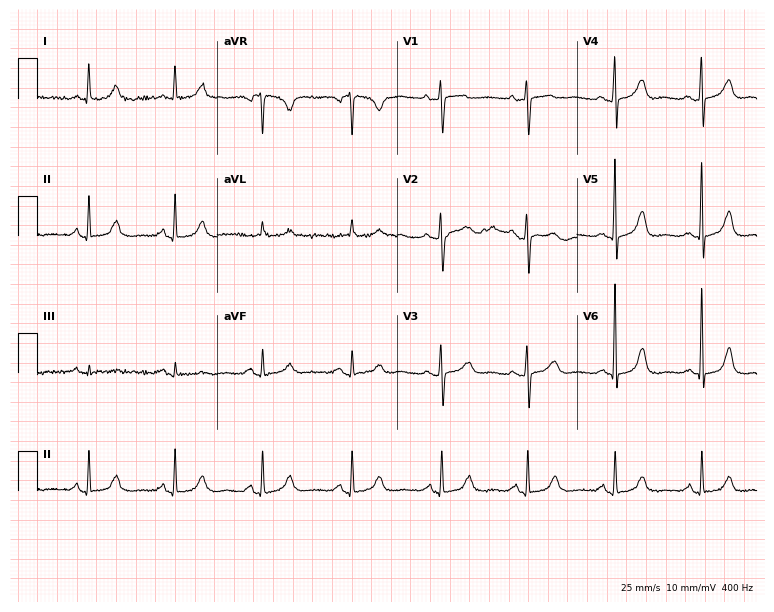
ECG — a woman, 83 years old. Labelled as a normal ECG.